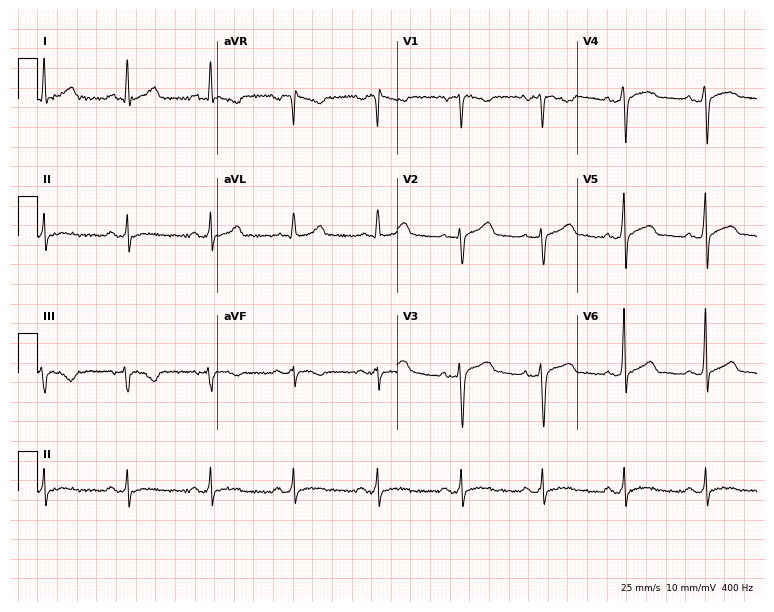
12-lead ECG (7.3-second recording at 400 Hz) from a male patient, 52 years old. Labelled as a normal ECG.